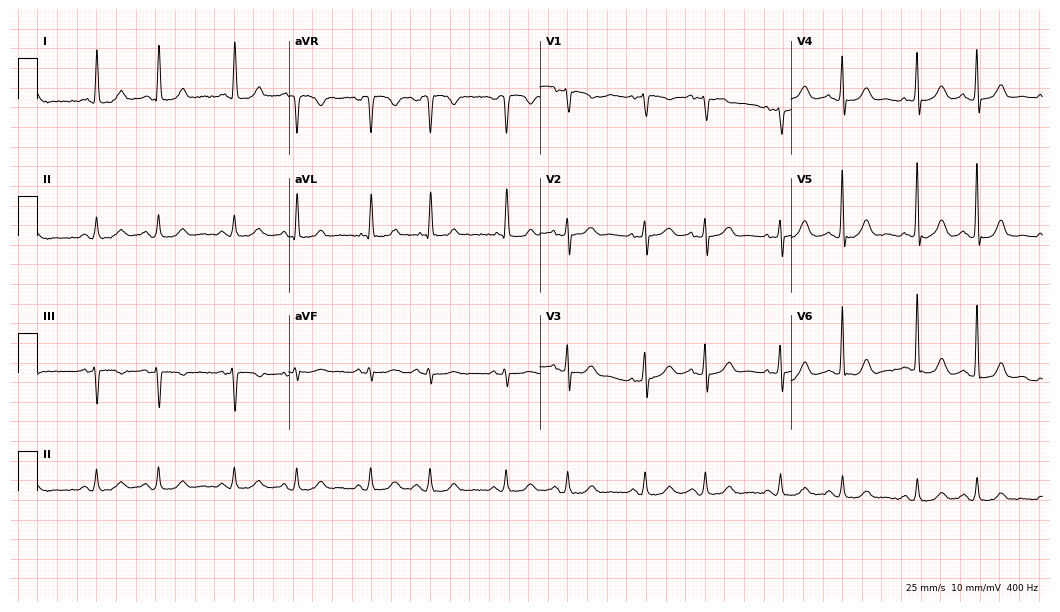
Standard 12-lead ECG recorded from a female, 80 years old (10.2-second recording at 400 Hz). None of these six findings is recorded: first-degree AV block, right bundle branch block, left bundle branch block, sinus bradycardia, atrial fibrillation, sinus tachycardia.